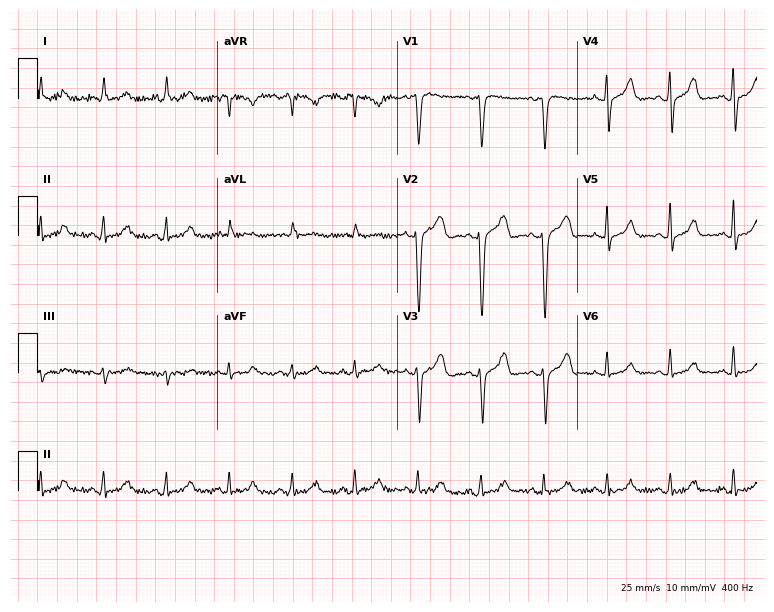
Resting 12-lead electrocardiogram. Patient: a 50-year-old man. Read as a normal ECG.